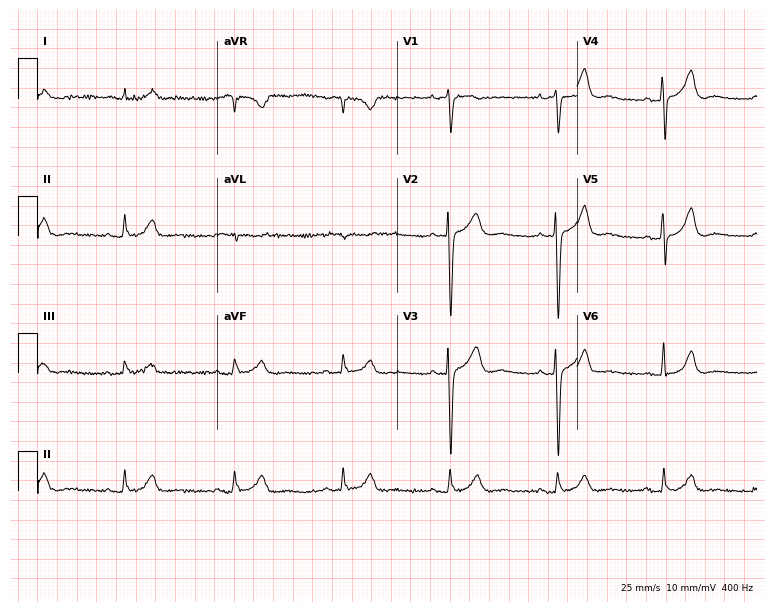
12-lead ECG (7.3-second recording at 400 Hz) from a 75-year-old female. Screened for six findings — first-degree AV block, right bundle branch block, left bundle branch block, sinus bradycardia, atrial fibrillation, sinus tachycardia — none is recorded.